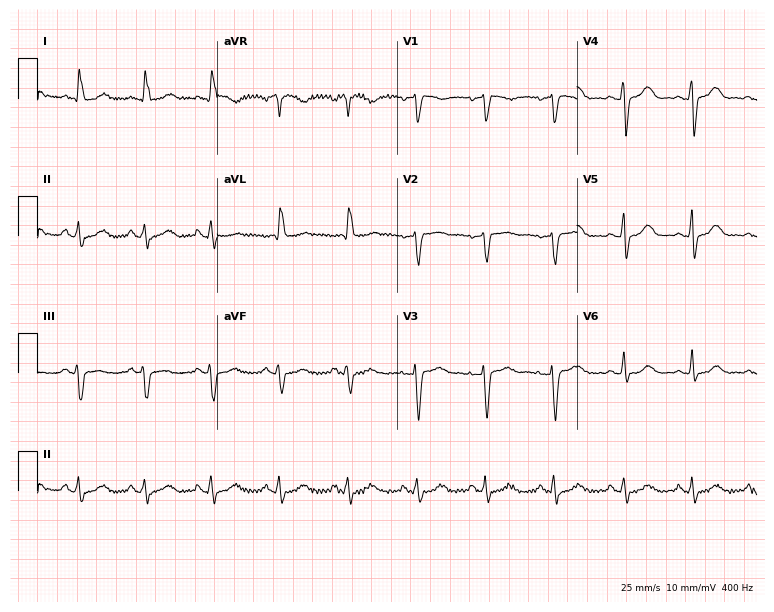
ECG — a woman, 61 years old. Screened for six findings — first-degree AV block, right bundle branch block, left bundle branch block, sinus bradycardia, atrial fibrillation, sinus tachycardia — none is recorded.